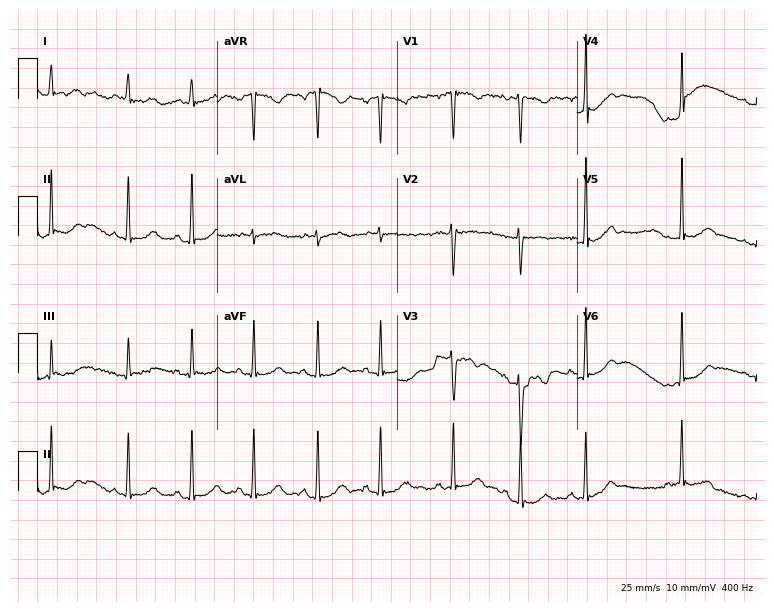
ECG (7.3-second recording at 400 Hz) — a female patient, 18 years old. Screened for six findings — first-degree AV block, right bundle branch block, left bundle branch block, sinus bradycardia, atrial fibrillation, sinus tachycardia — none is recorded. Only these six findings were labelled.